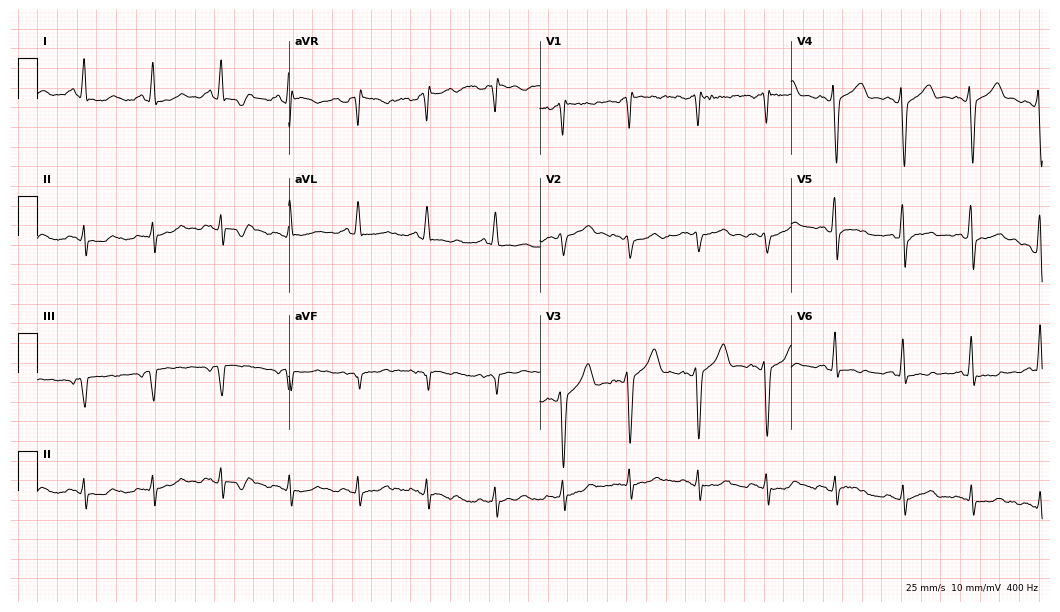
Electrocardiogram (10.2-second recording at 400 Hz), a male patient, 56 years old. Of the six screened findings (first-degree AV block, right bundle branch block, left bundle branch block, sinus bradycardia, atrial fibrillation, sinus tachycardia), none is recorded. Other findings, if any, are not listed.